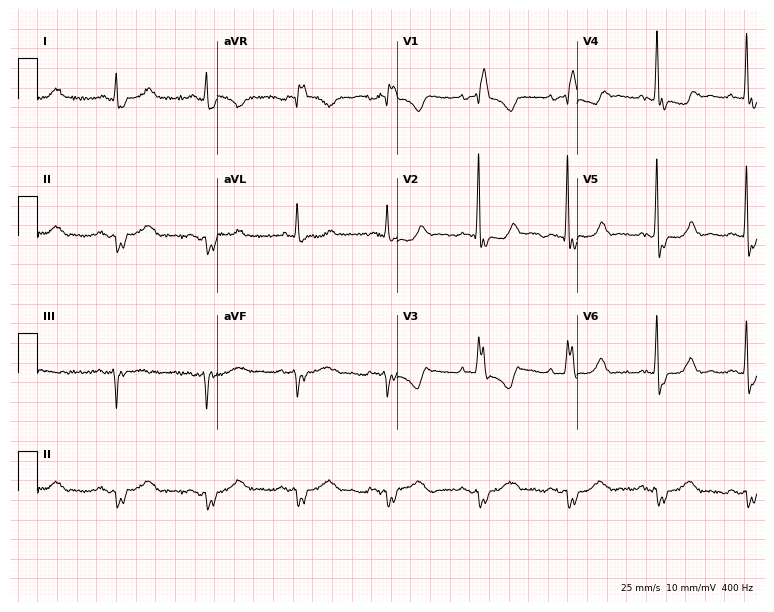
Electrocardiogram, a female patient, 81 years old. Interpretation includes right bundle branch block.